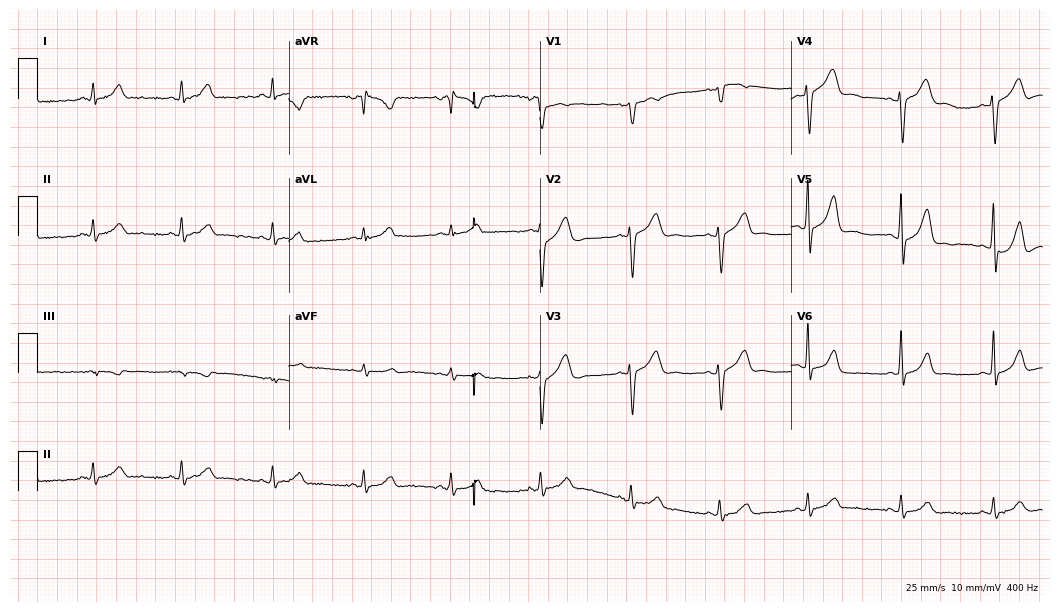
12-lead ECG from a female patient, 46 years old. Labelled as a normal ECG.